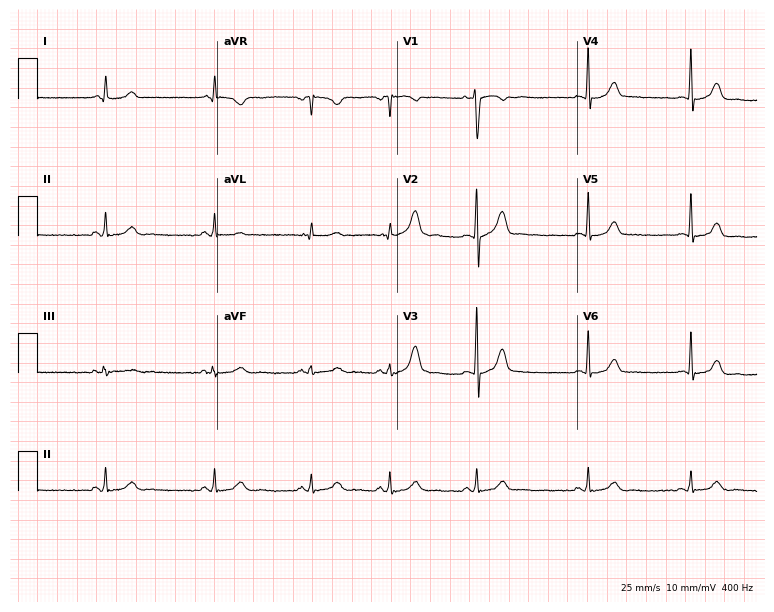
12-lead ECG (7.3-second recording at 400 Hz) from a 26-year-old female. Screened for six findings — first-degree AV block, right bundle branch block, left bundle branch block, sinus bradycardia, atrial fibrillation, sinus tachycardia — none is recorded.